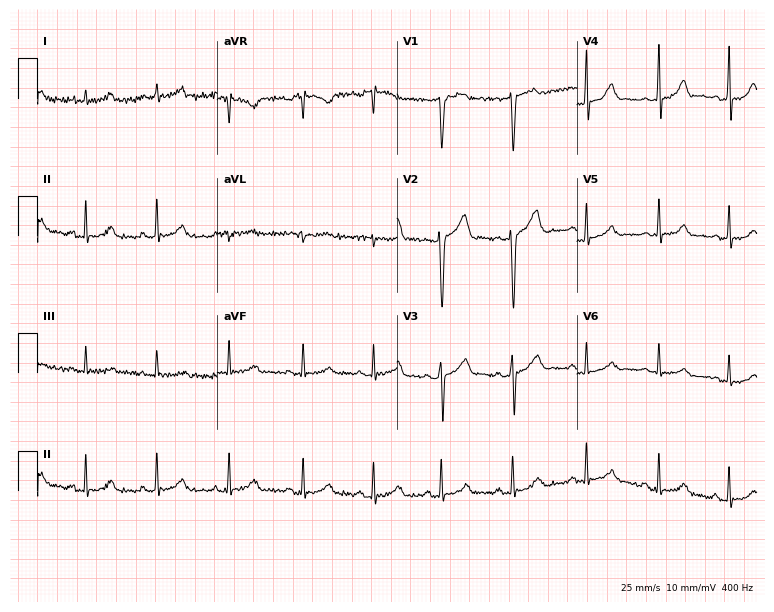
Resting 12-lead electrocardiogram. Patient: a 26-year-old female. Read as a normal ECG.